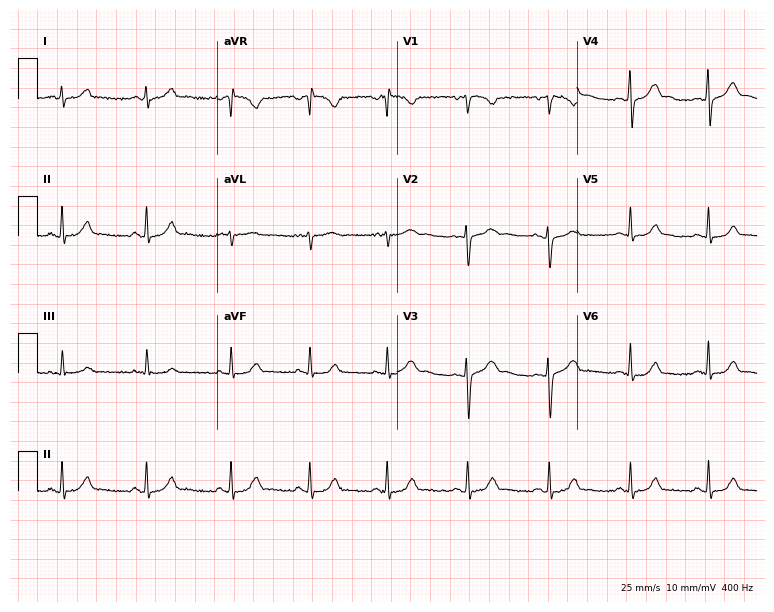
12-lead ECG from a female, 20 years old (7.3-second recording at 400 Hz). No first-degree AV block, right bundle branch block (RBBB), left bundle branch block (LBBB), sinus bradycardia, atrial fibrillation (AF) or sinus tachycardia recorded for this tracing.